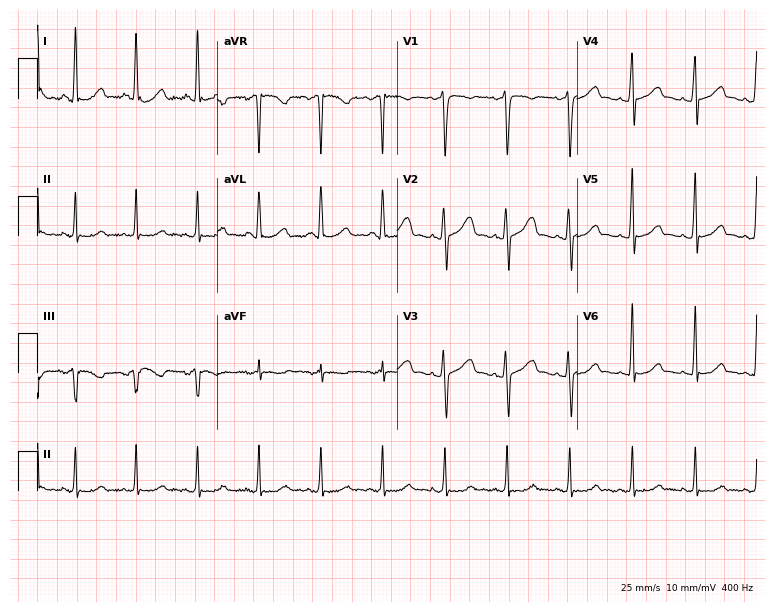
12-lead ECG from a female patient, 32 years old (7.3-second recording at 400 Hz). Recorded interpretation: within normal limits.